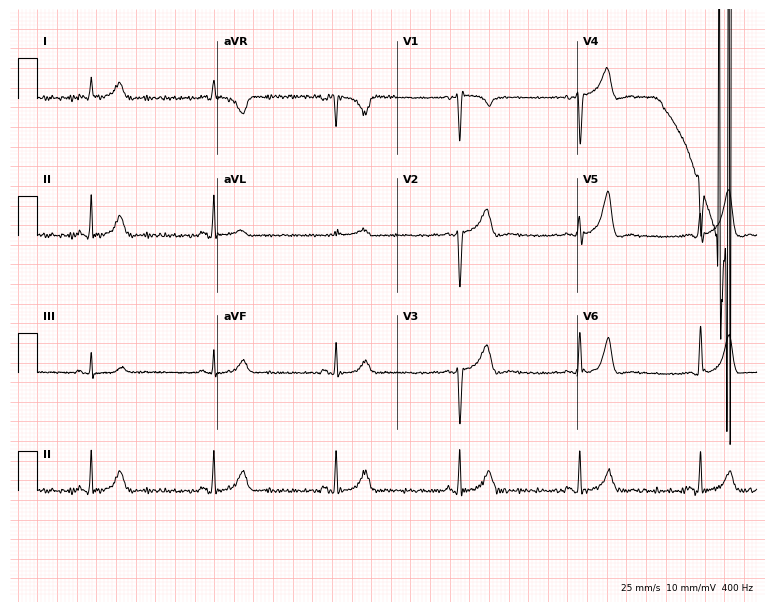
Standard 12-lead ECG recorded from a man, 66 years old (7.3-second recording at 400 Hz). None of these six findings is recorded: first-degree AV block, right bundle branch block, left bundle branch block, sinus bradycardia, atrial fibrillation, sinus tachycardia. Findings outside these six are not listed.